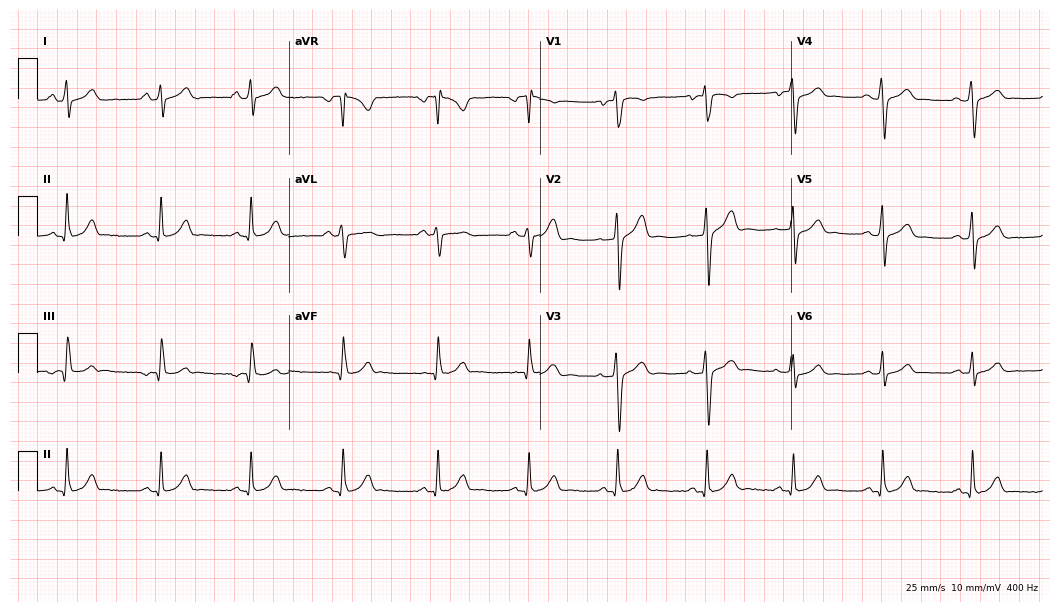
Standard 12-lead ECG recorded from a 28-year-old man. Read as a normal ECG.